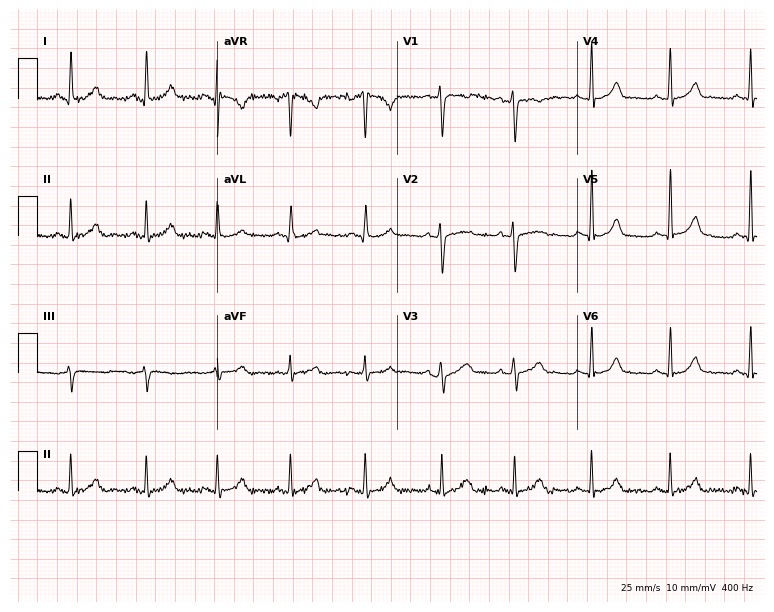
12-lead ECG from a woman, 27 years old. Recorded interpretation: within normal limits.